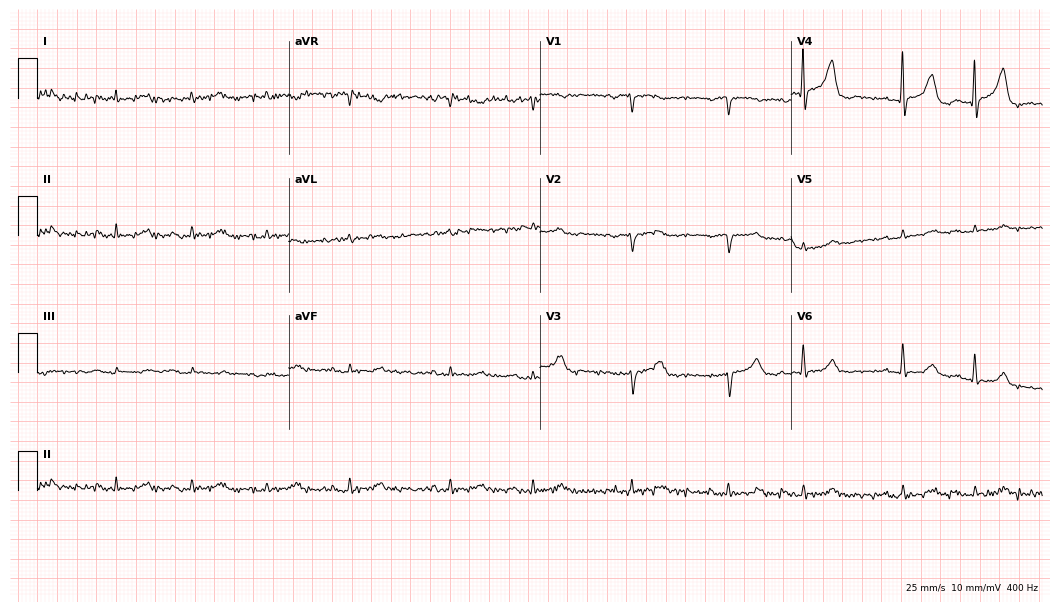
Resting 12-lead electrocardiogram (10.2-second recording at 400 Hz). Patient: a male, 85 years old. None of these six findings is recorded: first-degree AV block, right bundle branch block, left bundle branch block, sinus bradycardia, atrial fibrillation, sinus tachycardia.